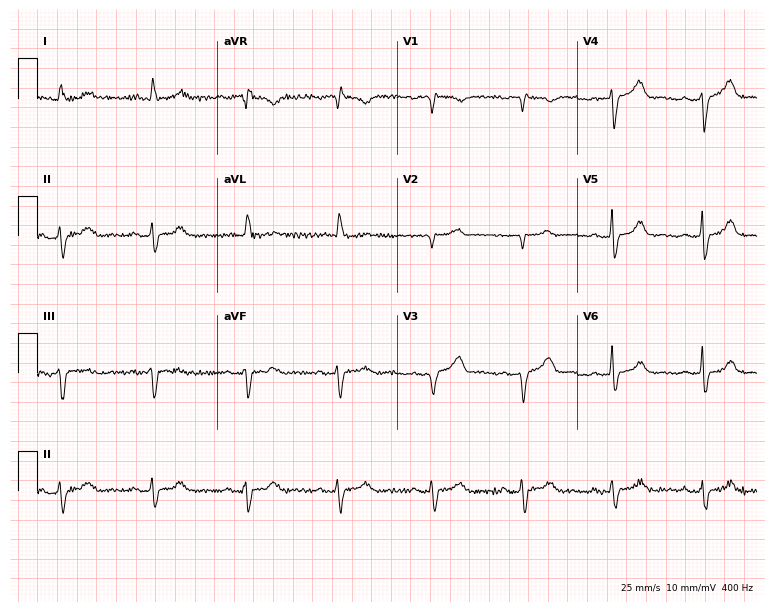
Resting 12-lead electrocardiogram (7.3-second recording at 400 Hz). Patient: a 79-year-old male. None of these six findings is recorded: first-degree AV block, right bundle branch block (RBBB), left bundle branch block (LBBB), sinus bradycardia, atrial fibrillation (AF), sinus tachycardia. Findings outside these six are not listed.